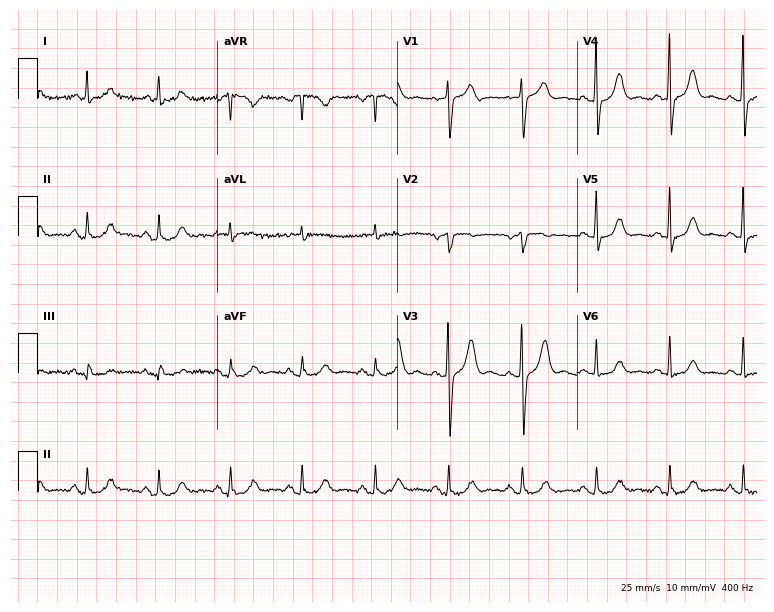
12-lead ECG (7.3-second recording at 400 Hz) from a 76-year-old male patient. Labelled as a normal ECG.